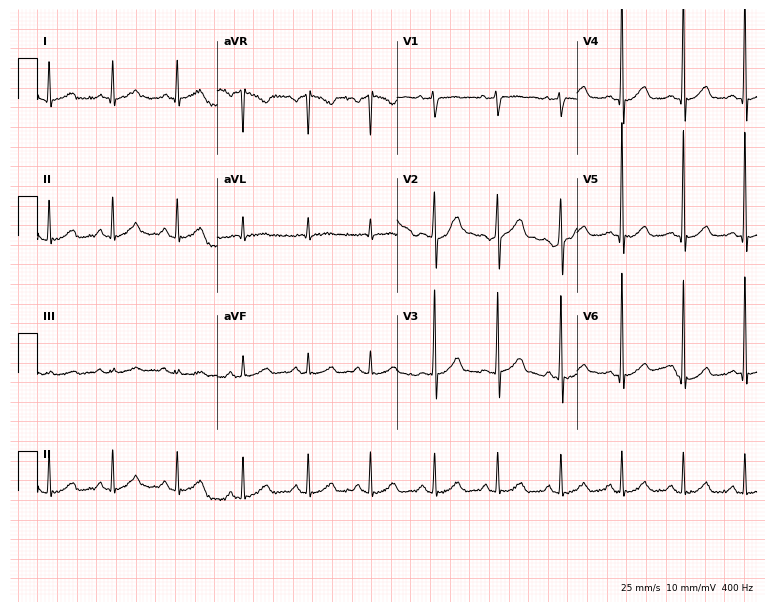
ECG (7.3-second recording at 400 Hz) — a man, 54 years old. Labelled as a normal ECG.